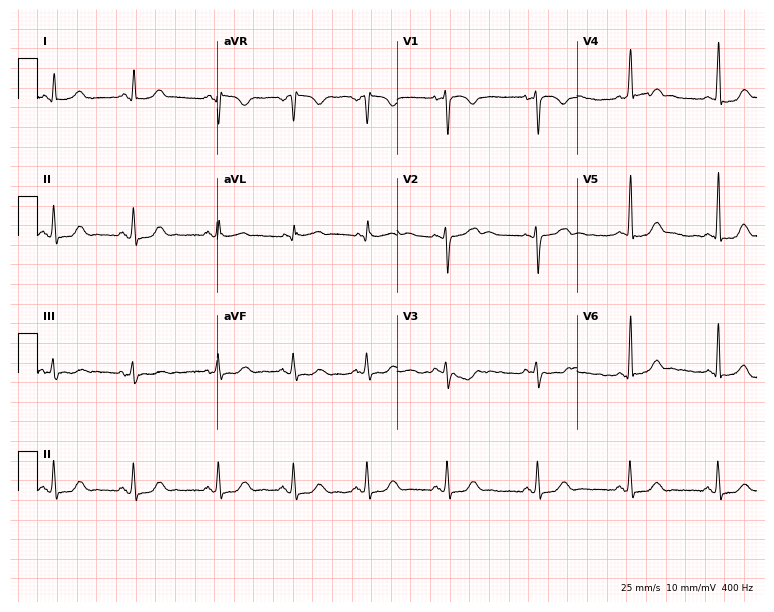
12-lead ECG from a female patient, 27 years old. Screened for six findings — first-degree AV block, right bundle branch block, left bundle branch block, sinus bradycardia, atrial fibrillation, sinus tachycardia — none is recorded.